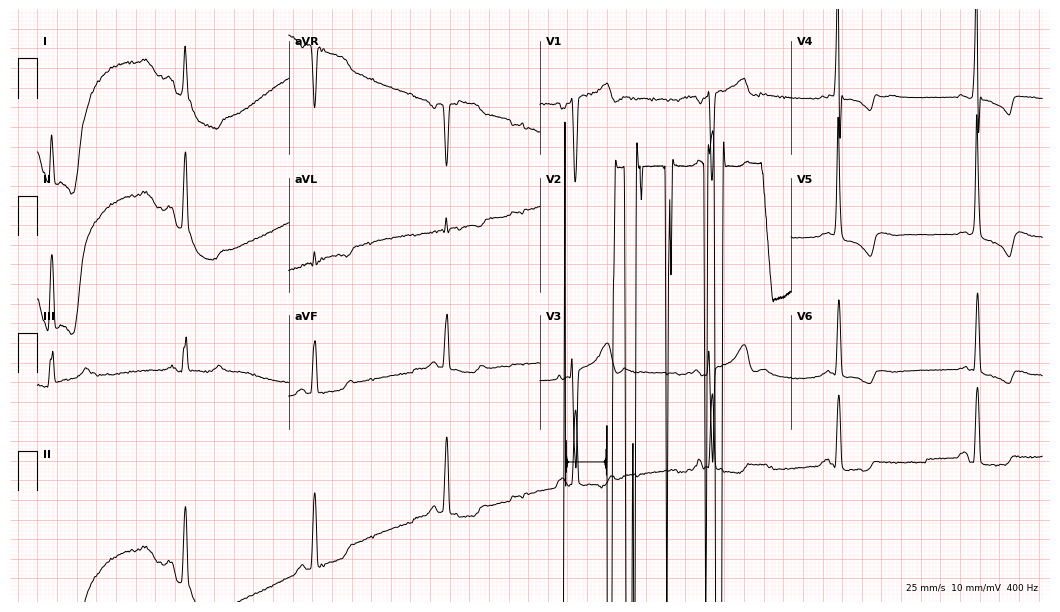
Electrocardiogram, a 77-year-old female. Interpretation includes atrial fibrillation.